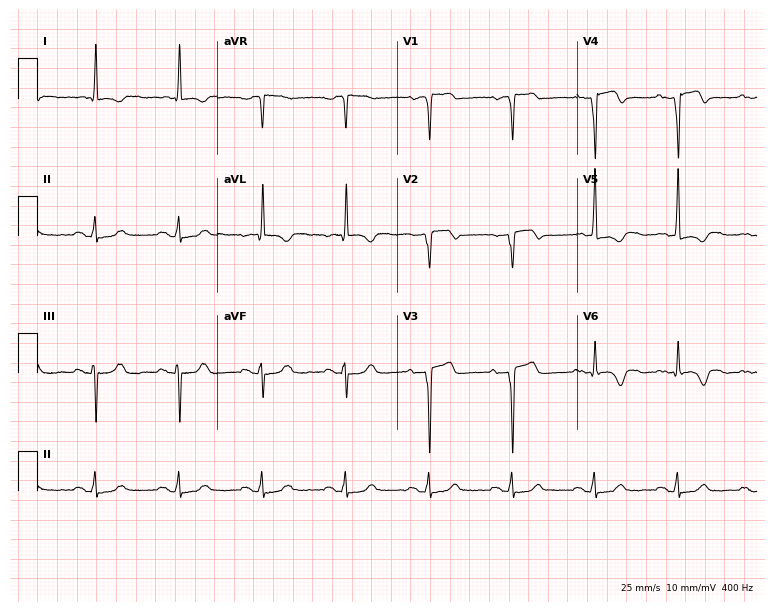
Standard 12-lead ECG recorded from an 80-year-old woman (7.3-second recording at 400 Hz). None of these six findings is recorded: first-degree AV block, right bundle branch block, left bundle branch block, sinus bradycardia, atrial fibrillation, sinus tachycardia. Only these six findings were labelled.